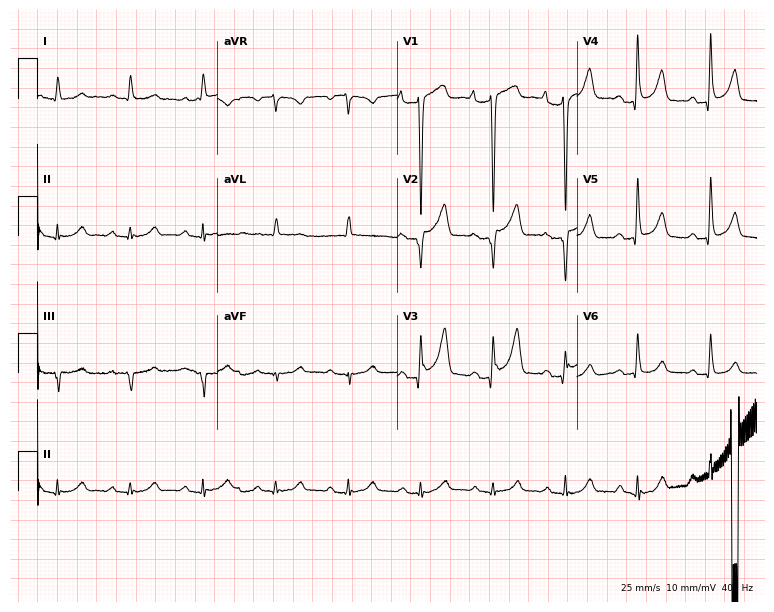
Electrocardiogram (7.3-second recording at 400 Hz), an 84-year-old male. Of the six screened findings (first-degree AV block, right bundle branch block, left bundle branch block, sinus bradycardia, atrial fibrillation, sinus tachycardia), none is recorded. Other findings, if any, are not listed.